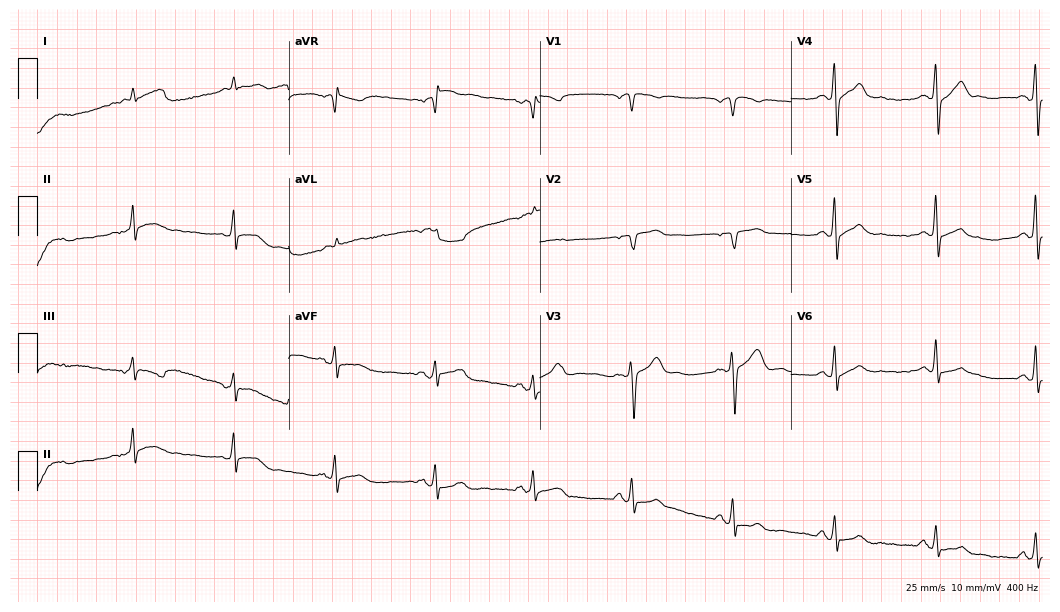
Electrocardiogram (10.2-second recording at 400 Hz), an 82-year-old male patient. Of the six screened findings (first-degree AV block, right bundle branch block (RBBB), left bundle branch block (LBBB), sinus bradycardia, atrial fibrillation (AF), sinus tachycardia), none is recorded. Only these six findings were labelled.